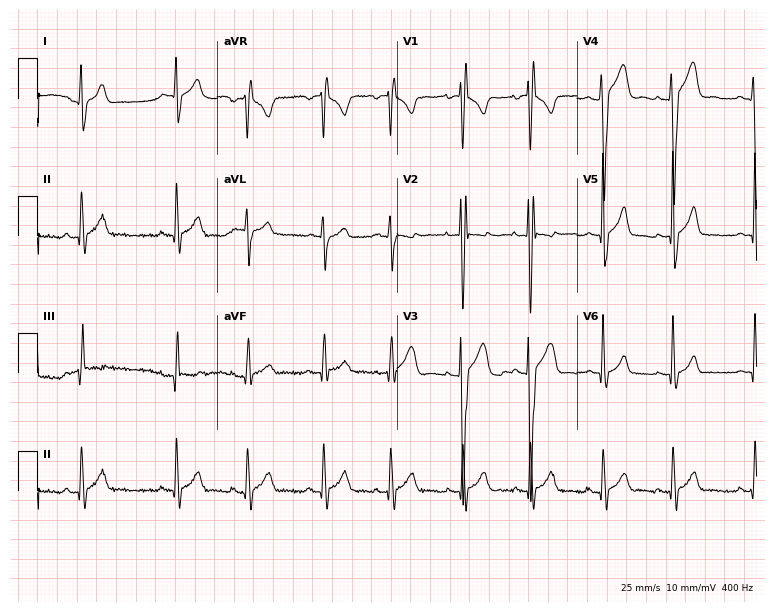
Resting 12-lead electrocardiogram. Patient: a 17-year-old male. None of these six findings is recorded: first-degree AV block, right bundle branch block, left bundle branch block, sinus bradycardia, atrial fibrillation, sinus tachycardia. Only these six findings were labelled.